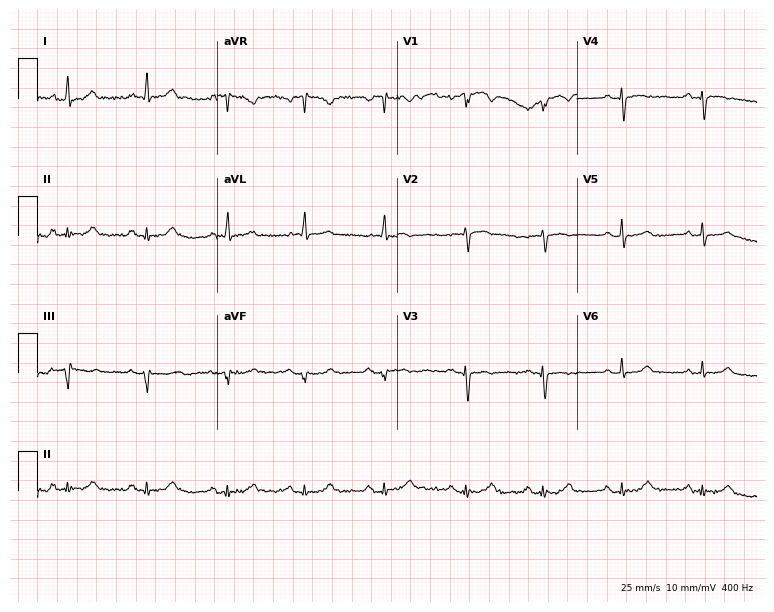
ECG (7.3-second recording at 400 Hz) — a 66-year-old male patient. Labelled as a normal ECG.